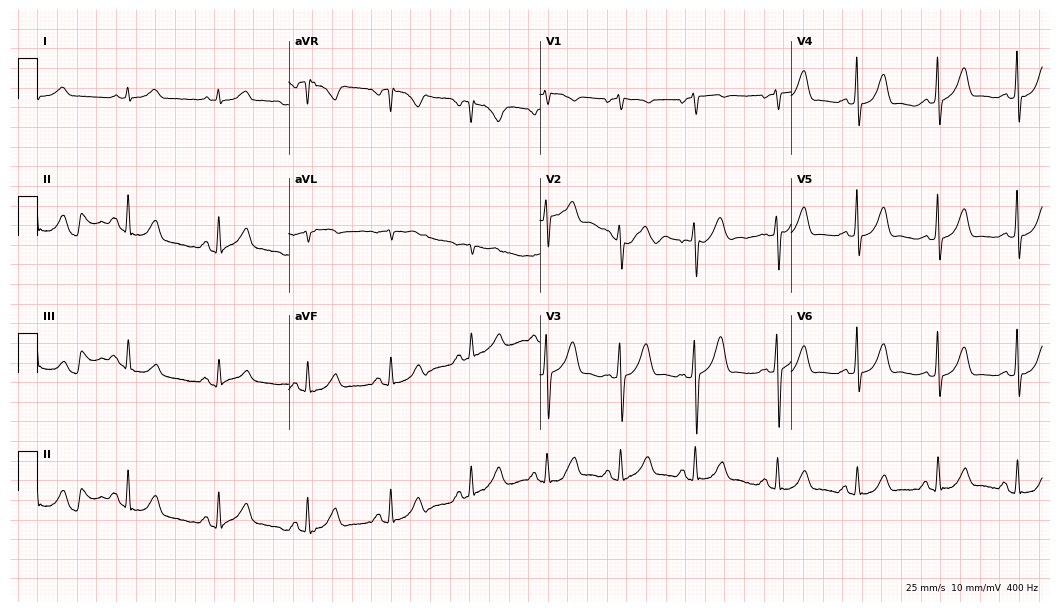
12-lead ECG from a male patient, 77 years old. Recorded interpretation: within normal limits.